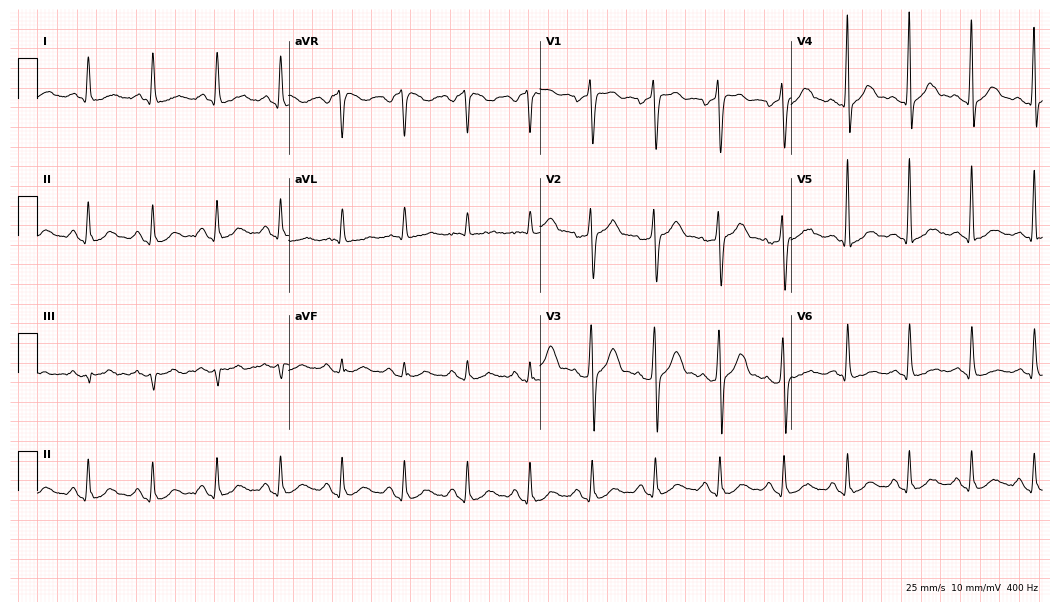
ECG (10.2-second recording at 400 Hz) — a male patient, 56 years old. Screened for six findings — first-degree AV block, right bundle branch block (RBBB), left bundle branch block (LBBB), sinus bradycardia, atrial fibrillation (AF), sinus tachycardia — none is recorded.